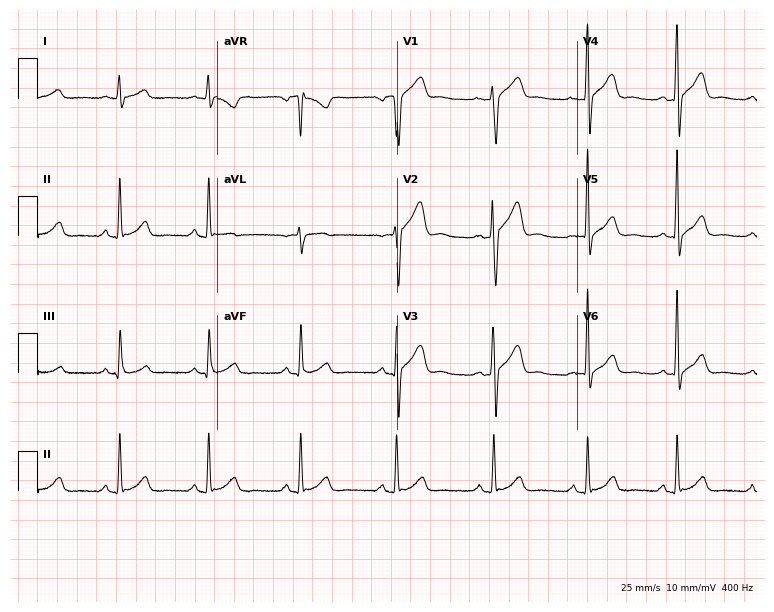
12-lead ECG from a 29-year-old man (7.3-second recording at 400 Hz). Recorded interpretation: within normal limits.